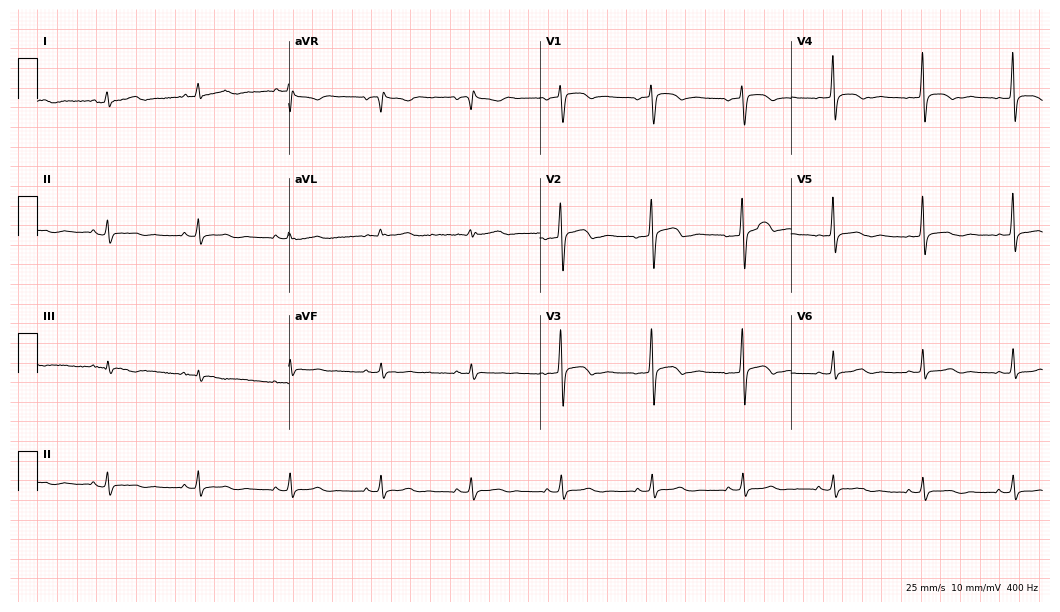
ECG — a 33-year-old female patient. Screened for six findings — first-degree AV block, right bundle branch block, left bundle branch block, sinus bradycardia, atrial fibrillation, sinus tachycardia — none is recorded. Only these six findings were labelled.